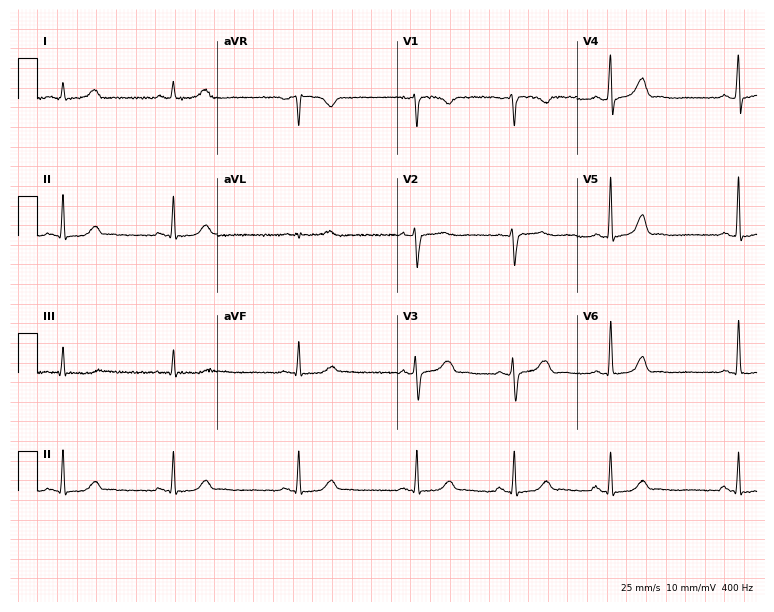
ECG (7.3-second recording at 400 Hz) — a 31-year-old female. Labelled as a normal ECG.